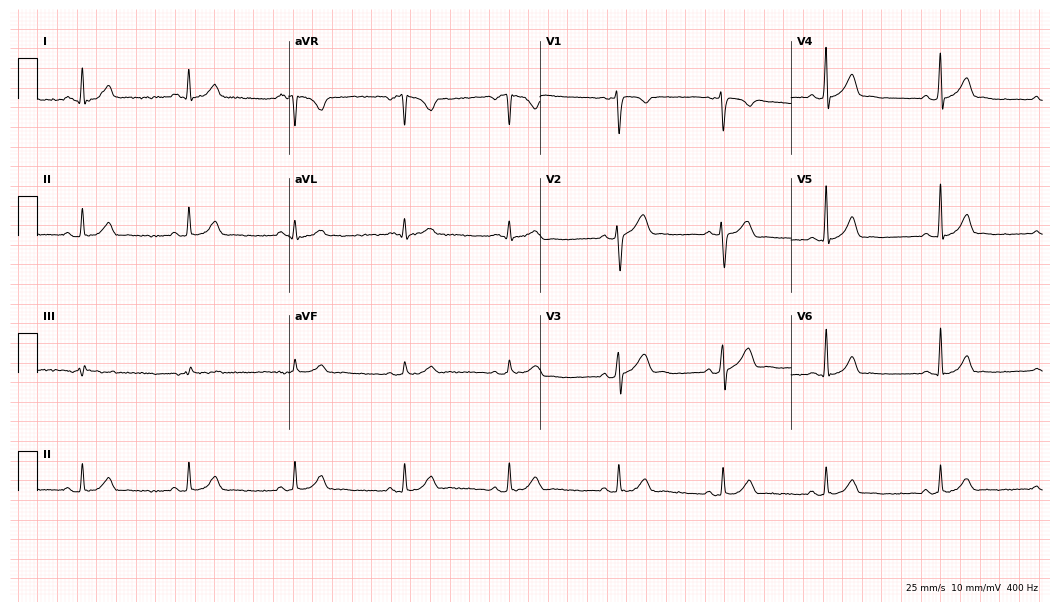
Standard 12-lead ECG recorded from a male patient, 30 years old (10.2-second recording at 400 Hz). None of these six findings is recorded: first-degree AV block, right bundle branch block (RBBB), left bundle branch block (LBBB), sinus bradycardia, atrial fibrillation (AF), sinus tachycardia.